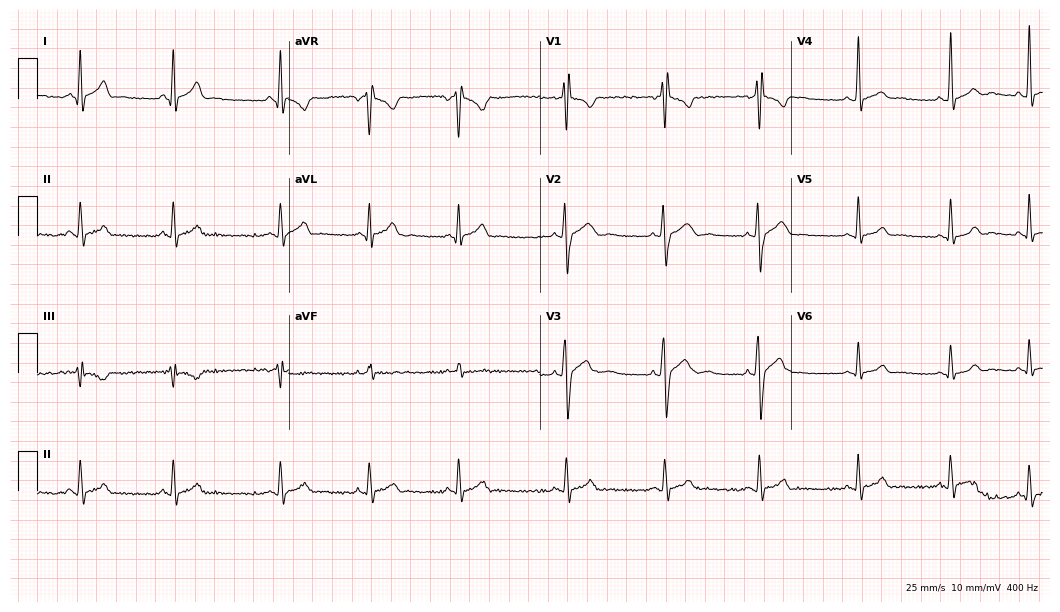
ECG (10.2-second recording at 400 Hz) — a 17-year-old male patient. Screened for six findings — first-degree AV block, right bundle branch block (RBBB), left bundle branch block (LBBB), sinus bradycardia, atrial fibrillation (AF), sinus tachycardia — none is recorded.